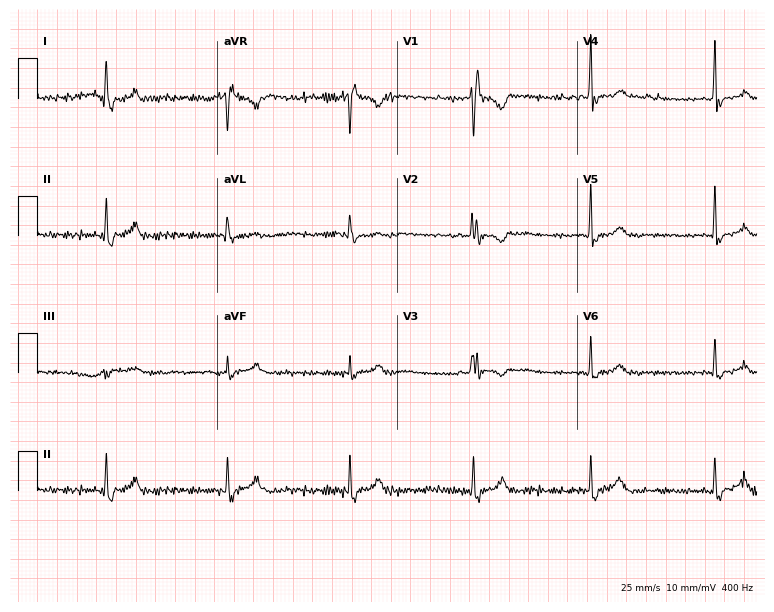
ECG — a female patient, 23 years old. Screened for six findings — first-degree AV block, right bundle branch block (RBBB), left bundle branch block (LBBB), sinus bradycardia, atrial fibrillation (AF), sinus tachycardia — none is recorded.